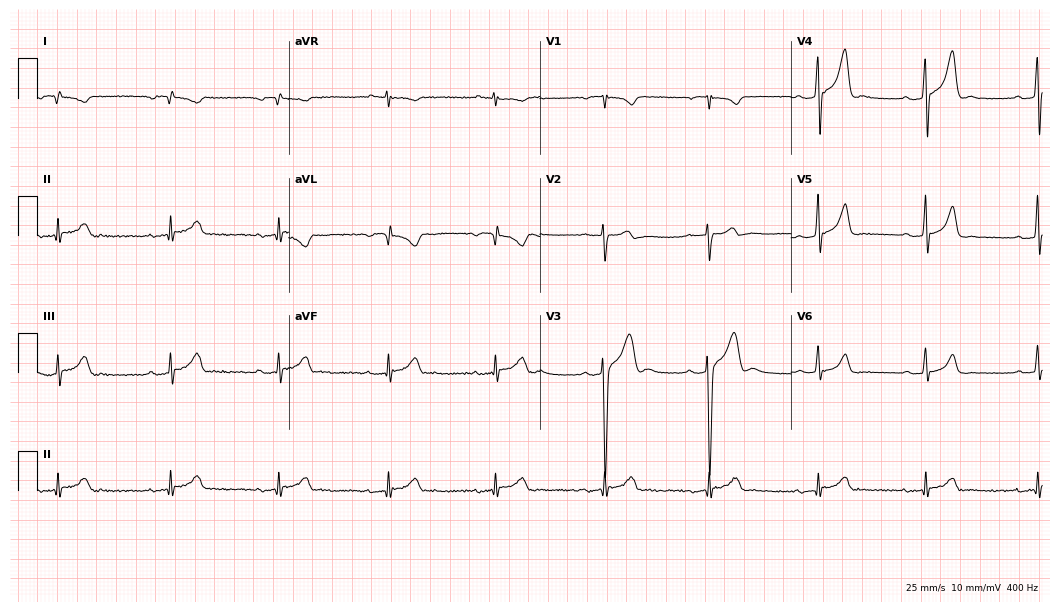
12-lead ECG from a 40-year-old man. No first-degree AV block, right bundle branch block, left bundle branch block, sinus bradycardia, atrial fibrillation or sinus tachycardia recorded for this tracing. Findings outside these six are not listed.